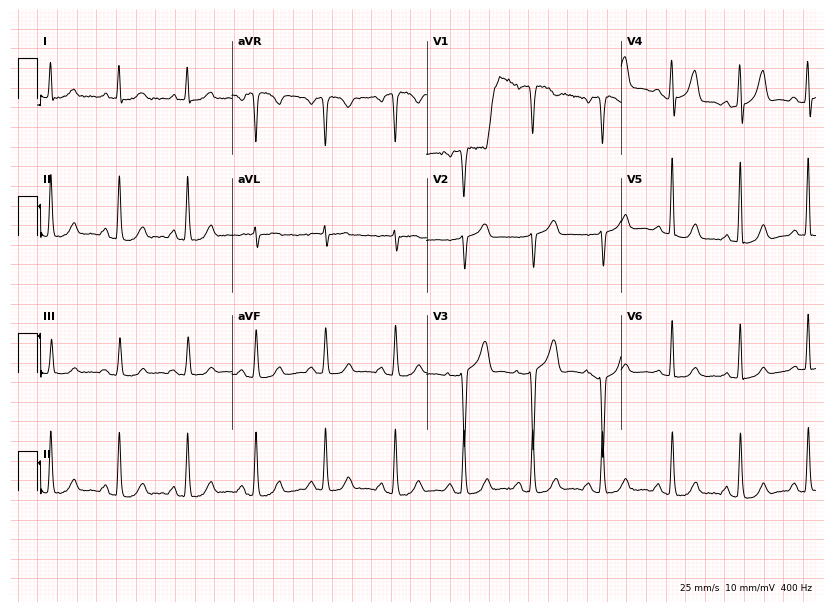
12-lead ECG (7.9-second recording at 400 Hz) from a 73-year-old man. Screened for six findings — first-degree AV block, right bundle branch block (RBBB), left bundle branch block (LBBB), sinus bradycardia, atrial fibrillation (AF), sinus tachycardia — none is recorded.